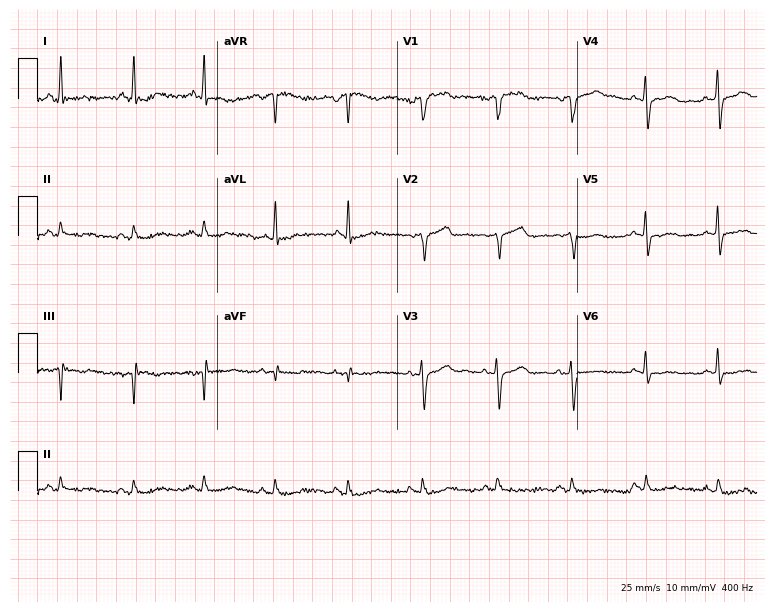
Electrocardiogram, a 20-year-old female. Of the six screened findings (first-degree AV block, right bundle branch block (RBBB), left bundle branch block (LBBB), sinus bradycardia, atrial fibrillation (AF), sinus tachycardia), none is recorded. Other findings, if any, are not listed.